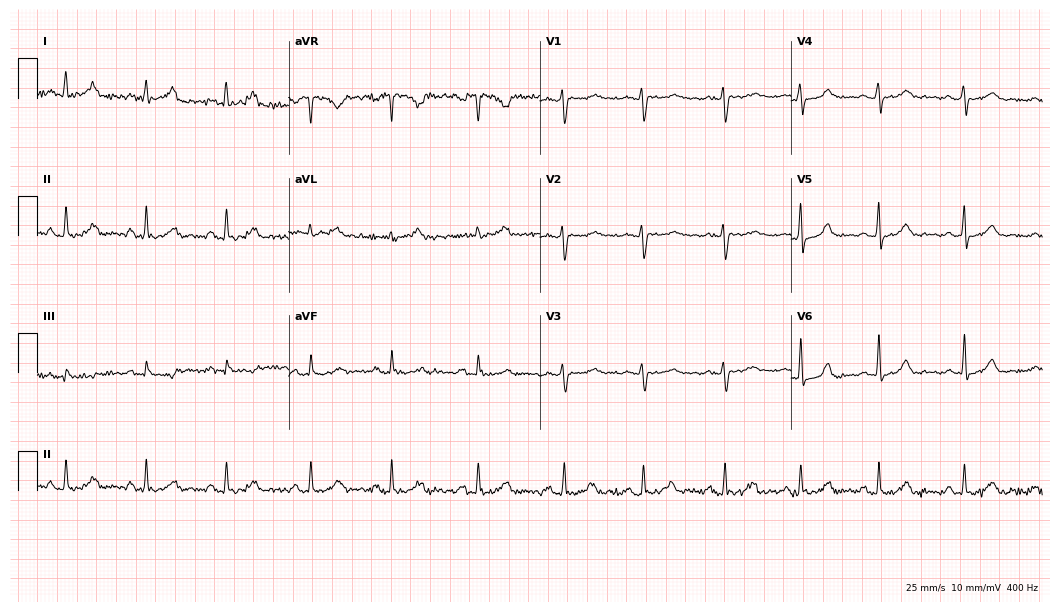
12-lead ECG from a woman, 28 years old (10.2-second recording at 400 Hz). Recorded interpretation: within normal limits.